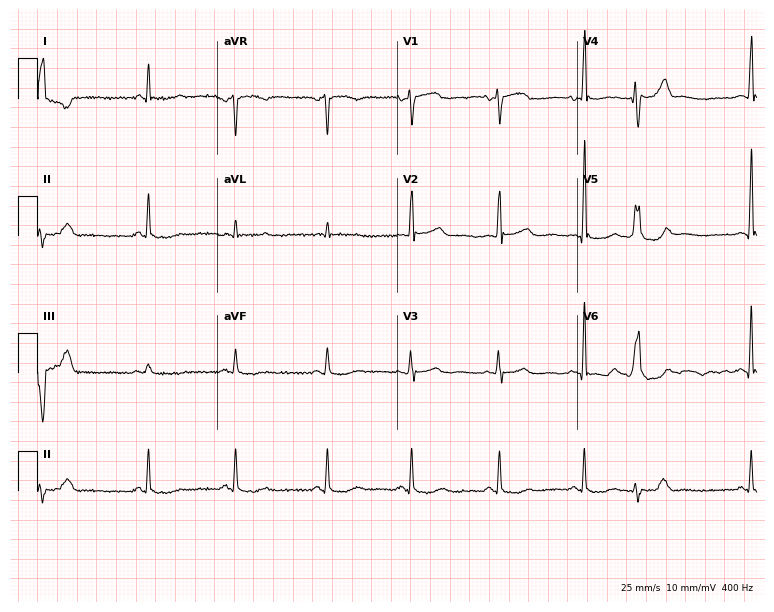
Electrocardiogram (7.3-second recording at 400 Hz), an 80-year-old man. Of the six screened findings (first-degree AV block, right bundle branch block, left bundle branch block, sinus bradycardia, atrial fibrillation, sinus tachycardia), none is recorded.